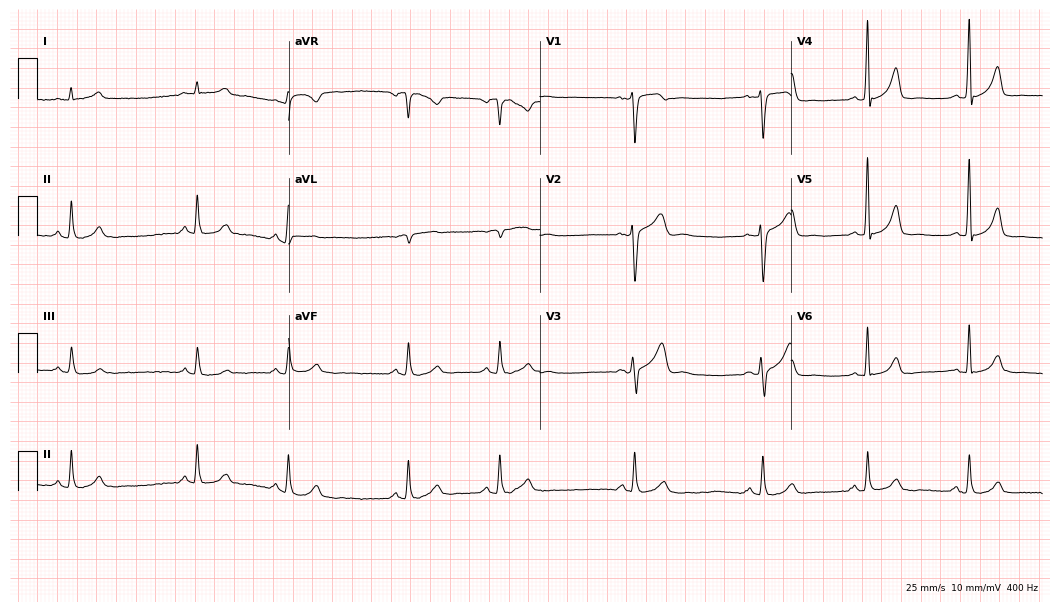
12-lead ECG from a man, 48 years old. No first-degree AV block, right bundle branch block (RBBB), left bundle branch block (LBBB), sinus bradycardia, atrial fibrillation (AF) or sinus tachycardia recorded for this tracing. Only these six findings were labelled.